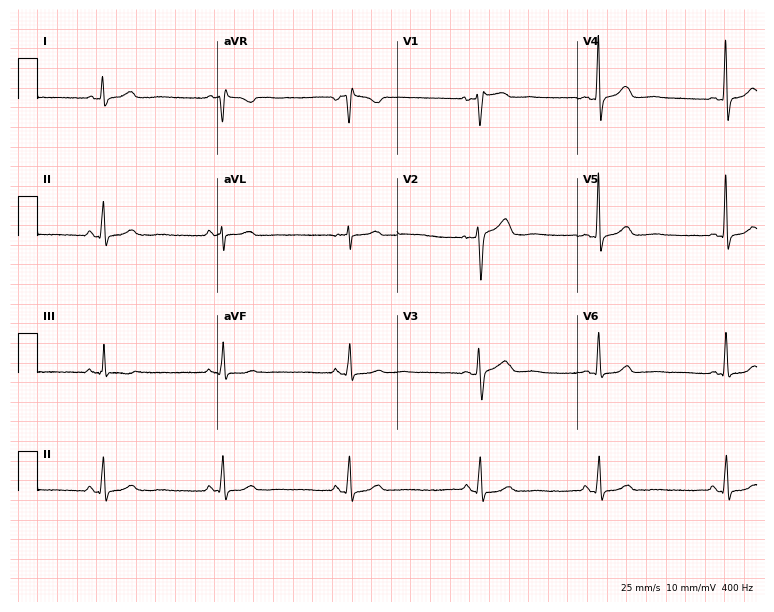
12-lead ECG from a 53-year-old woman. No first-degree AV block, right bundle branch block, left bundle branch block, sinus bradycardia, atrial fibrillation or sinus tachycardia recorded for this tracing.